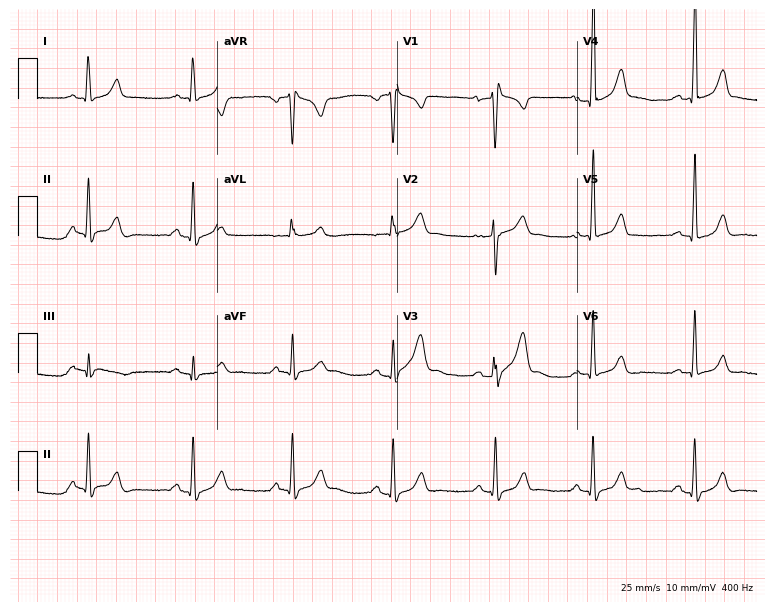
ECG (7.3-second recording at 400 Hz) — a 45-year-old man. Screened for six findings — first-degree AV block, right bundle branch block, left bundle branch block, sinus bradycardia, atrial fibrillation, sinus tachycardia — none is recorded. Other findings, if any, are not listed.